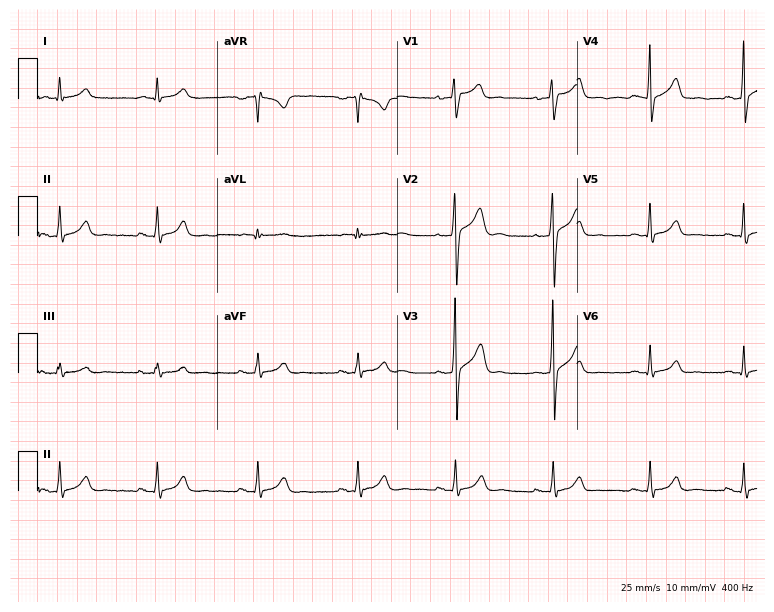
12-lead ECG (7.3-second recording at 400 Hz) from a male patient, 25 years old. Labelled as a normal ECG.